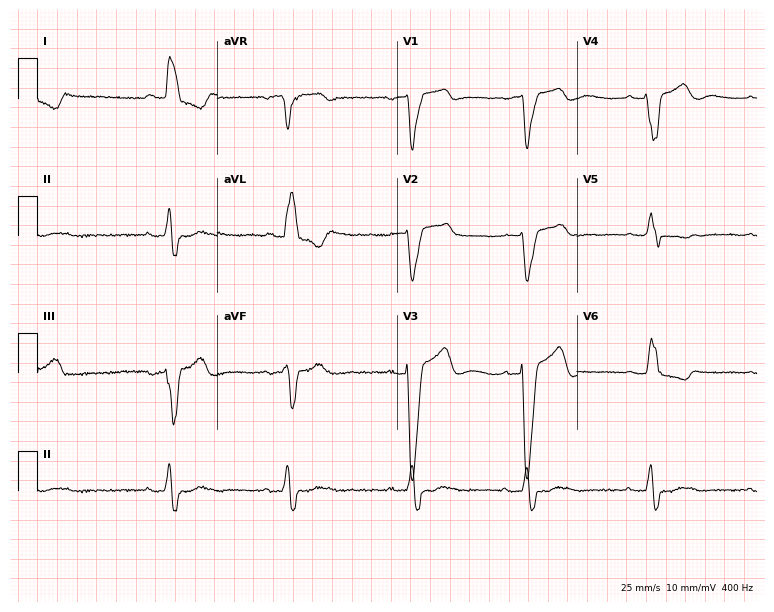
Standard 12-lead ECG recorded from a female patient, 70 years old. The tracing shows left bundle branch block, sinus bradycardia (a sinus rate of 50 beats per minute or less).